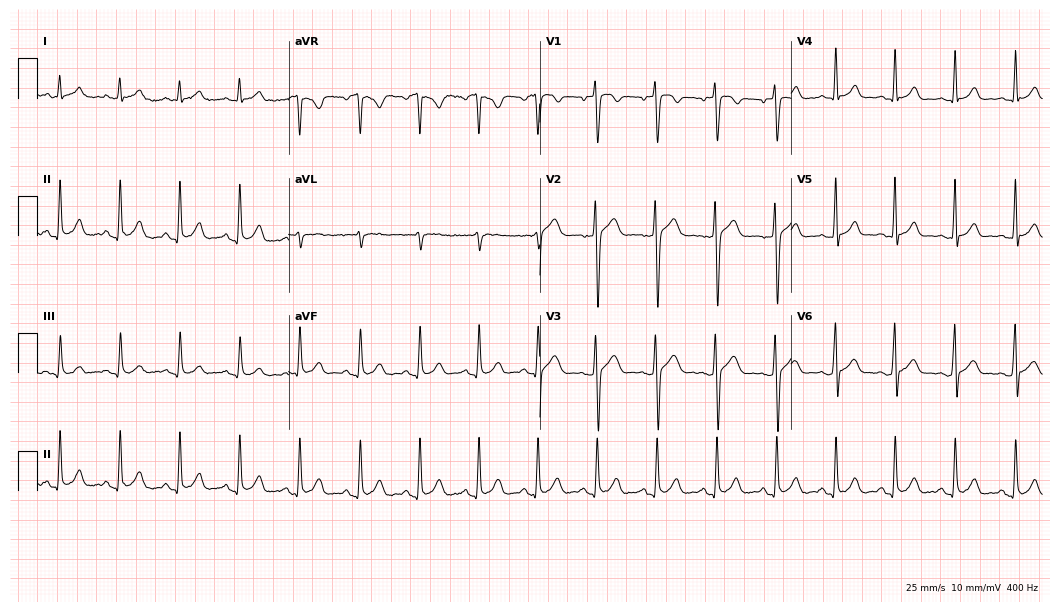
Standard 12-lead ECG recorded from a 28-year-old male. None of these six findings is recorded: first-degree AV block, right bundle branch block, left bundle branch block, sinus bradycardia, atrial fibrillation, sinus tachycardia. Only these six findings were labelled.